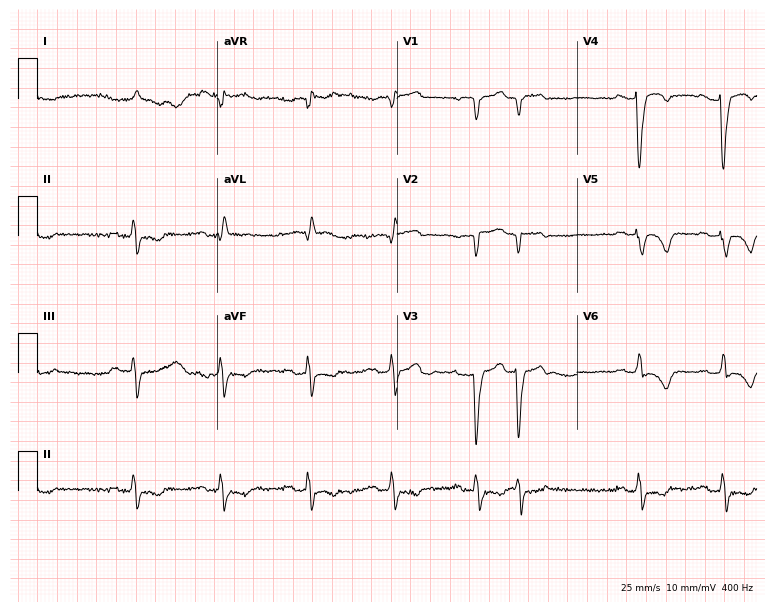
Electrocardiogram (7.3-second recording at 400 Hz), a male patient, 85 years old. Interpretation includes left bundle branch block (LBBB).